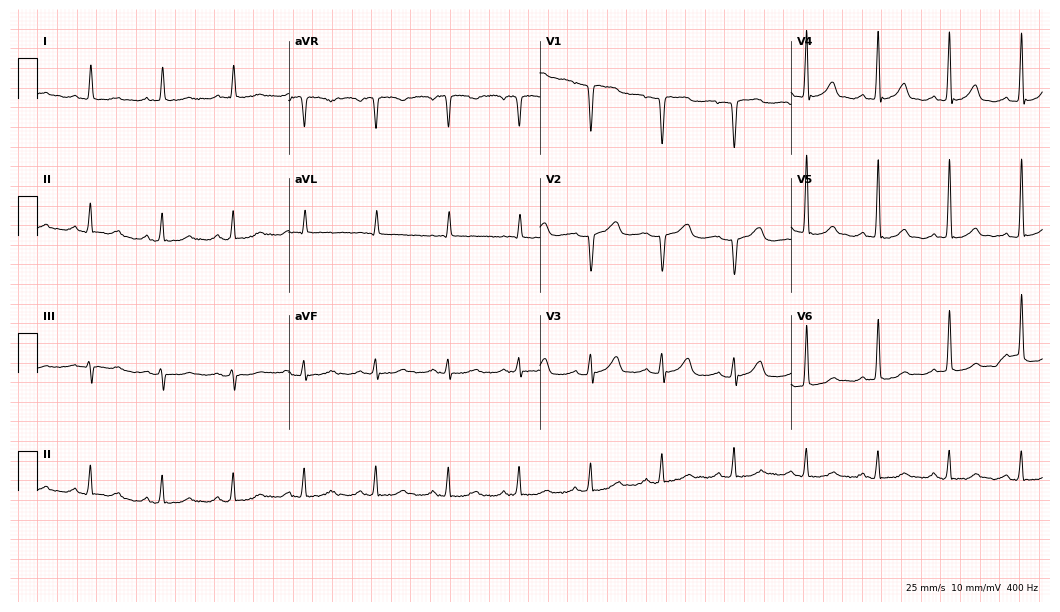
Resting 12-lead electrocardiogram. Patient: a 75-year-old female. Read as a normal ECG.